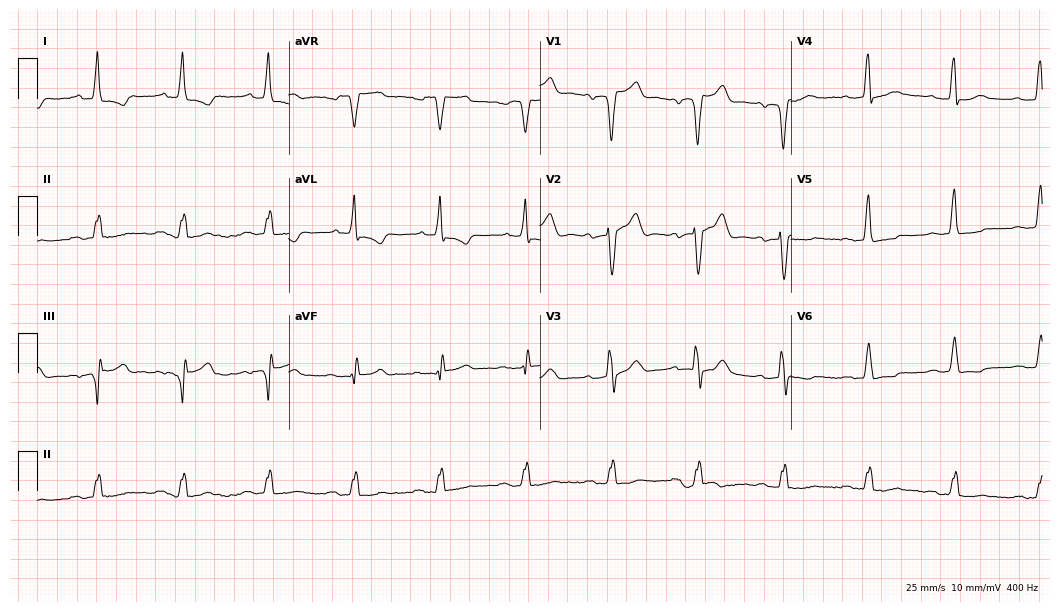
12-lead ECG from a 65-year-old man (10.2-second recording at 400 Hz). No first-degree AV block, right bundle branch block, left bundle branch block, sinus bradycardia, atrial fibrillation or sinus tachycardia recorded for this tracing. Other findings, if any, are not listed.